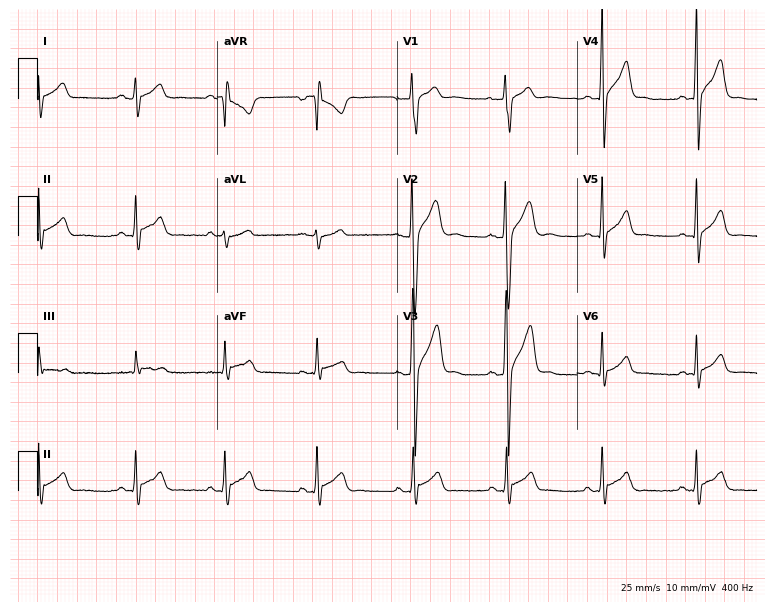
Electrocardiogram, a male, 20 years old. Of the six screened findings (first-degree AV block, right bundle branch block, left bundle branch block, sinus bradycardia, atrial fibrillation, sinus tachycardia), none is recorded.